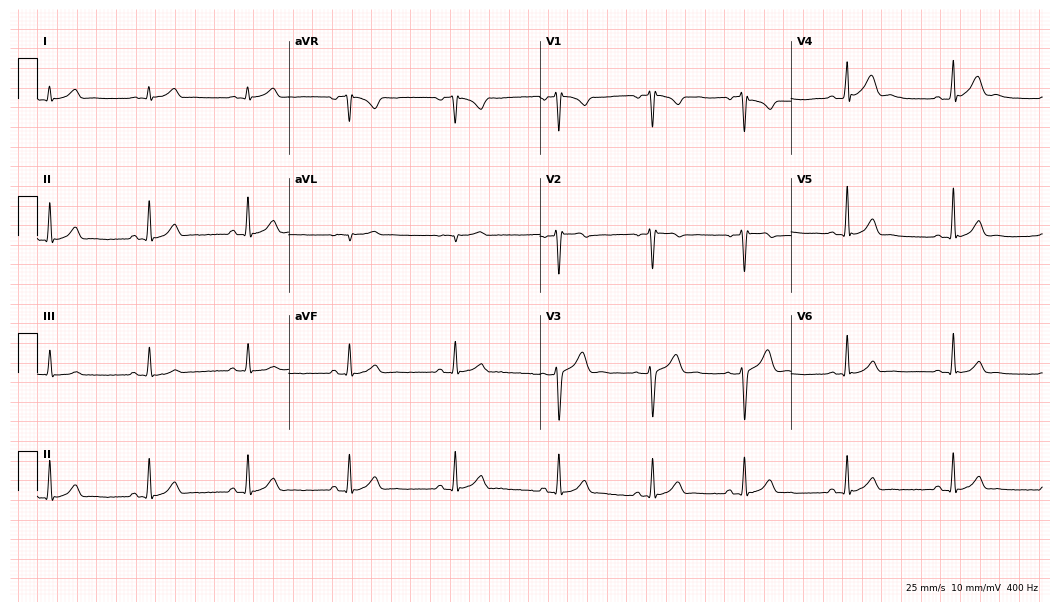
ECG (10.2-second recording at 400 Hz) — a 23-year-old male. Labelled as a normal ECG.